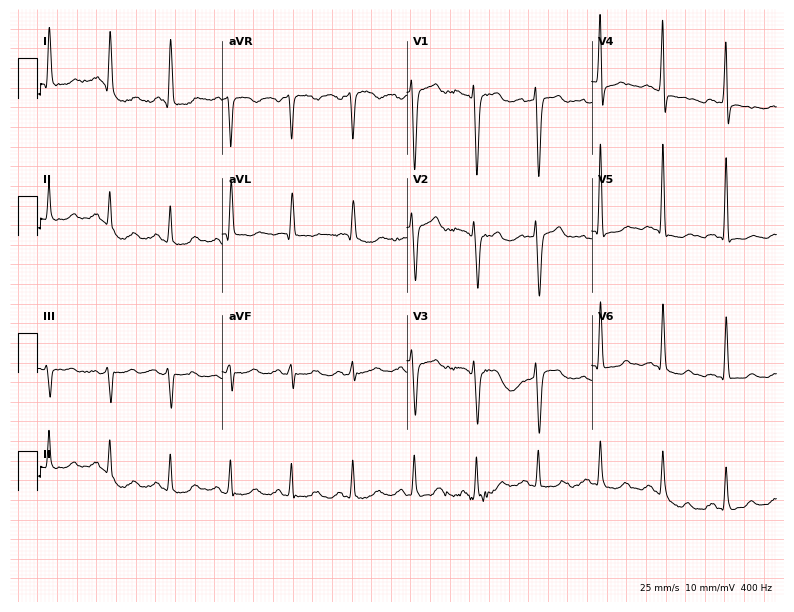
Electrocardiogram (7.5-second recording at 400 Hz), a man, 70 years old. Of the six screened findings (first-degree AV block, right bundle branch block, left bundle branch block, sinus bradycardia, atrial fibrillation, sinus tachycardia), none is recorded.